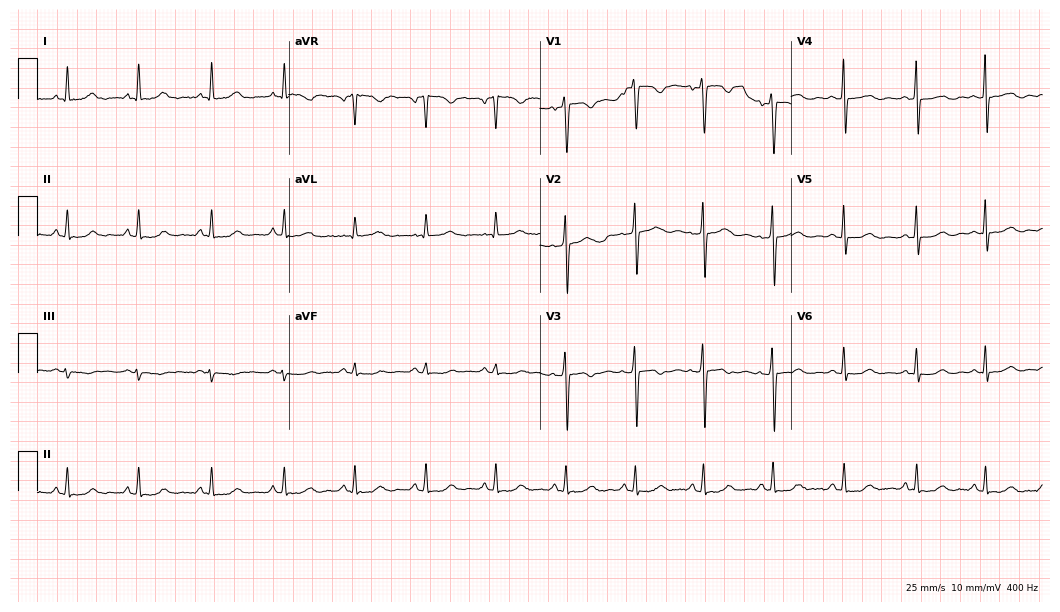
12-lead ECG from a 46-year-old female patient. Screened for six findings — first-degree AV block, right bundle branch block (RBBB), left bundle branch block (LBBB), sinus bradycardia, atrial fibrillation (AF), sinus tachycardia — none is recorded. Other findings, if any, are not listed.